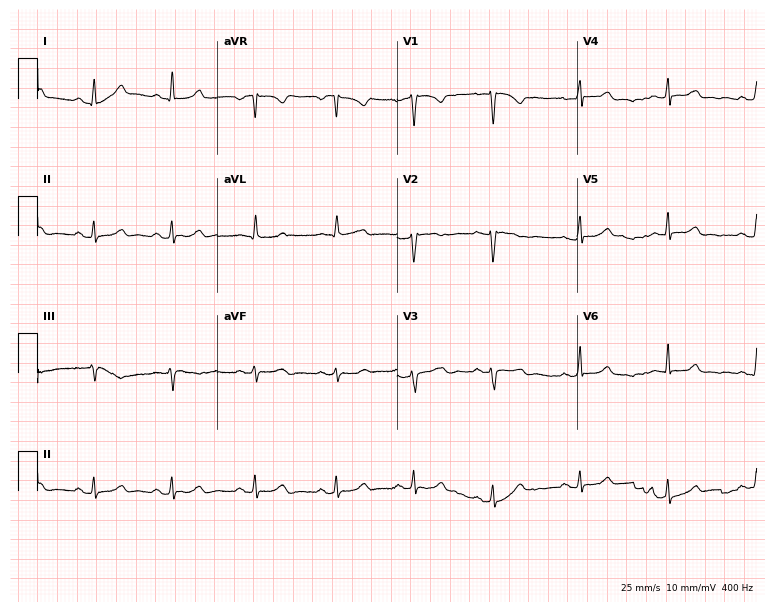
ECG — a female patient, 27 years old. Labelled as a normal ECG.